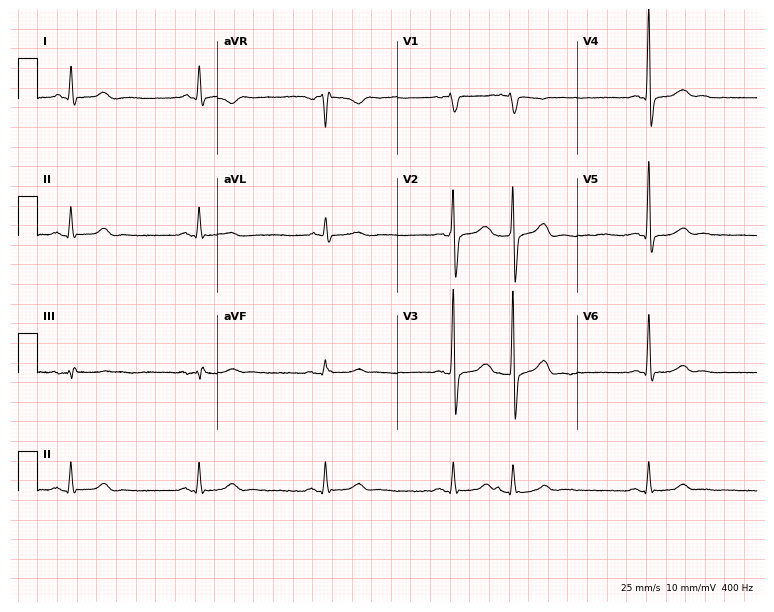
Resting 12-lead electrocardiogram (7.3-second recording at 400 Hz). Patient: a man, 56 years old. The tracing shows sinus bradycardia (a sinus rate of 50 beats per minute or less).